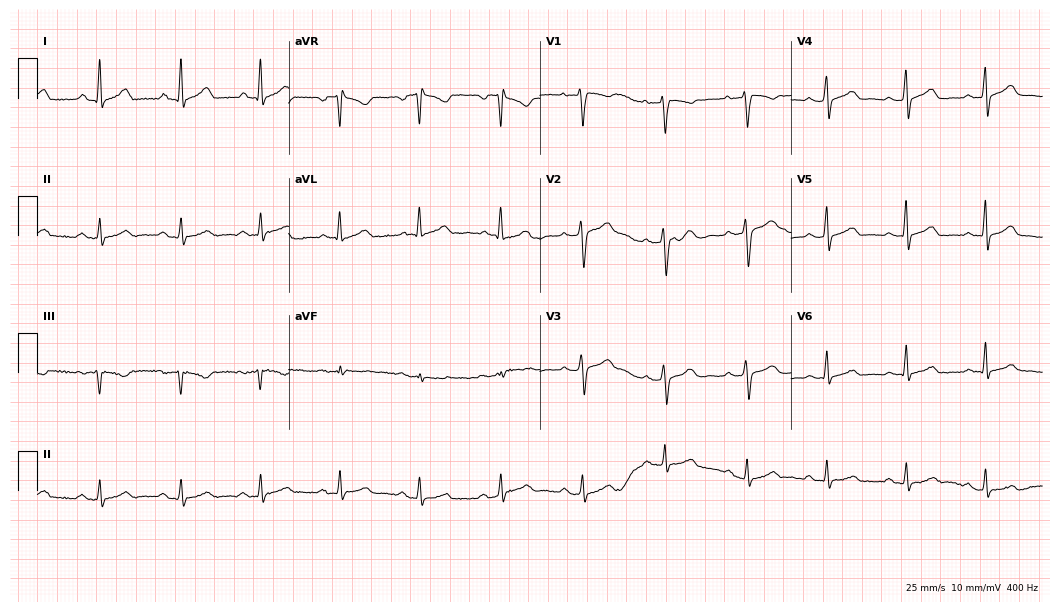
ECG — a woman, 41 years old. Labelled as a normal ECG.